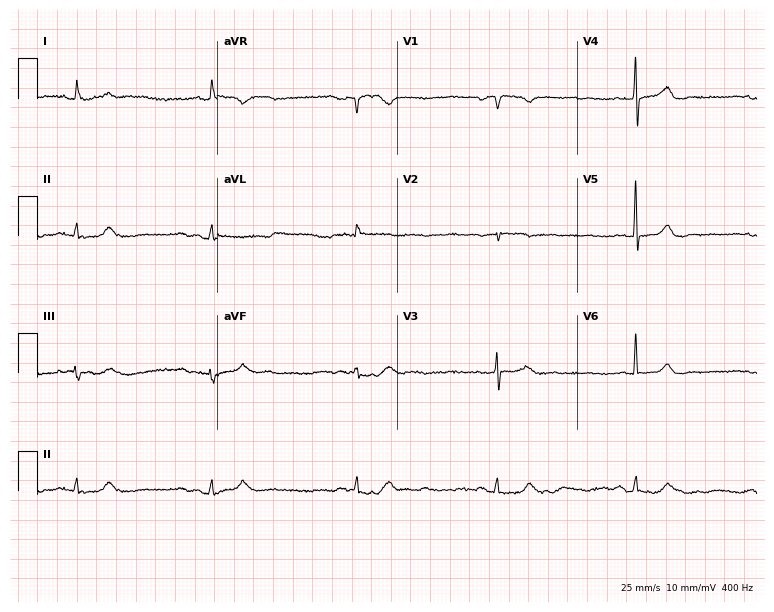
12-lead ECG (7.3-second recording at 400 Hz) from a male, 73 years old. Findings include sinus bradycardia (a sinus rate of 50 beats per minute or less).